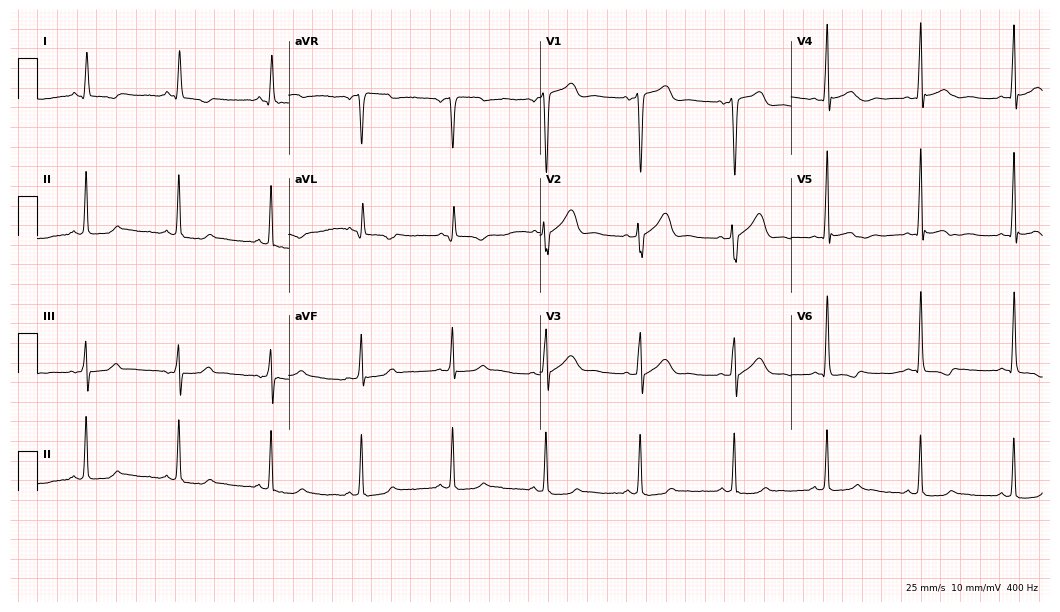
Resting 12-lead electrocardiogram. Patient: a 50-year-old woman. None of these six findings is recorded: first-degree AV block, right bundle branch block, left bundle branch block, sinus bradycardia, atrial fibrillation, sinus tachycardia.